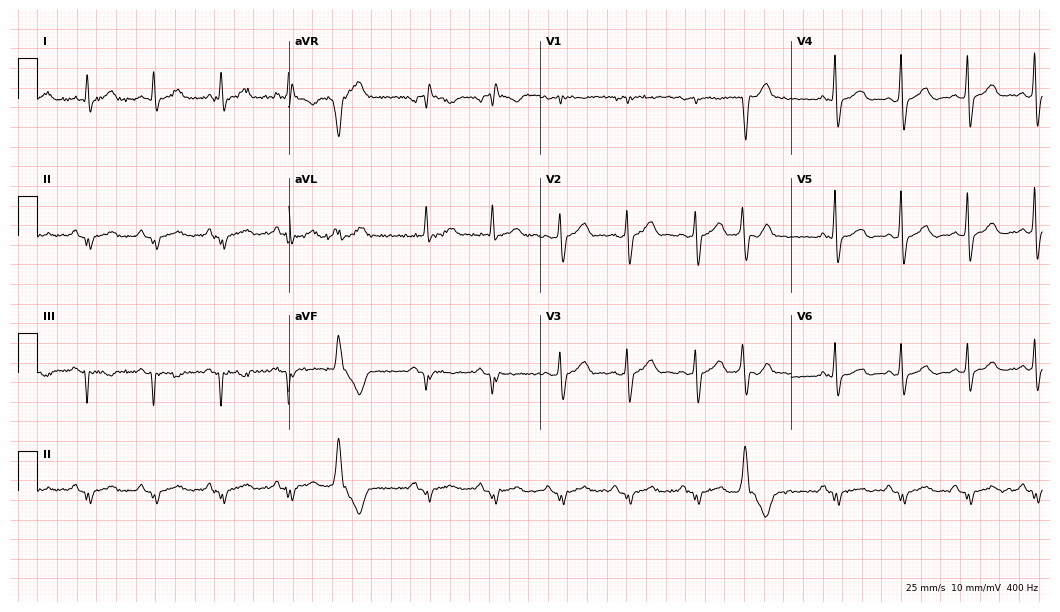
Resting 12-lead electrocardiogram. Patient: a man, 73 years old. None of these six findings is recorded: first-degree AV block, right bundle branch block, left bundle branch block, sinus bradycardia, atrial fibrillation, sinus tachycardia.